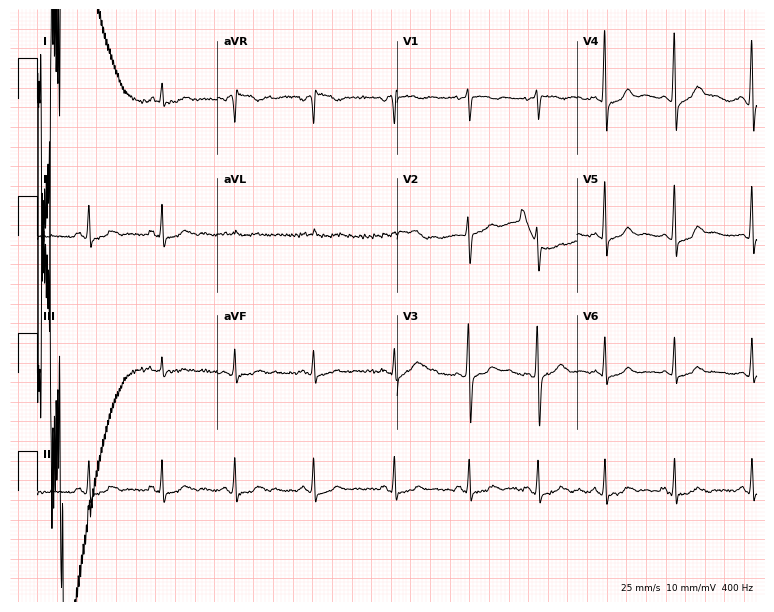
Standard 12-lead ECG recorded from a 24-year-old female. Read as a normal ECG.